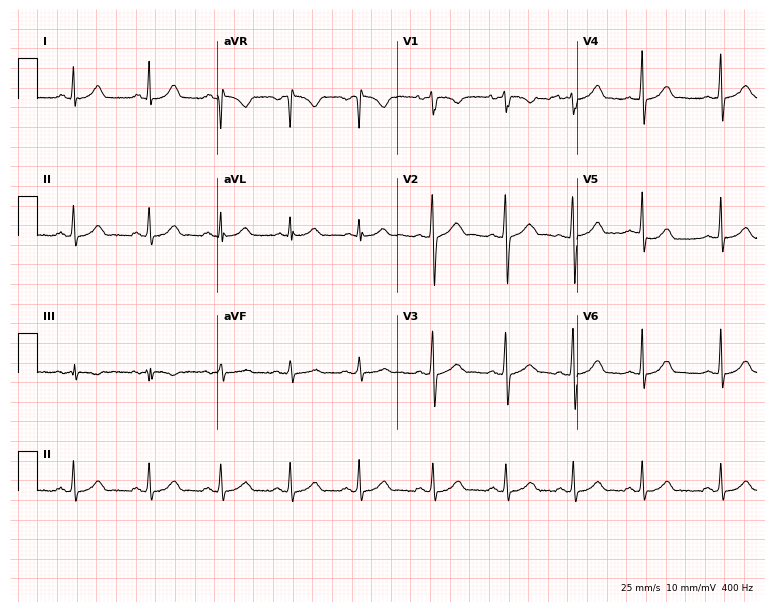
12-lead ECG from a woman, 23 years old (7.3-second recording at 400 Hz). Recorded interpretation: within normal limits.